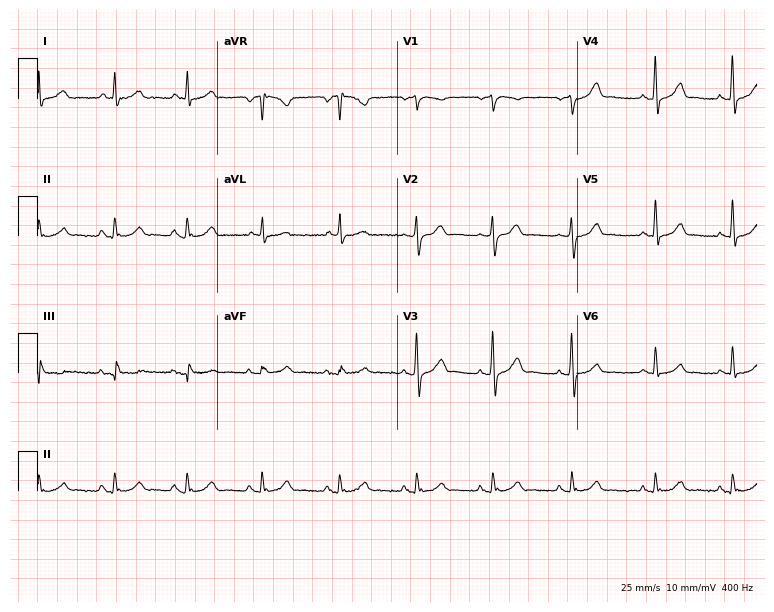
12-lead ECG from a male, 34 years old. Labelled as a normal ECG.